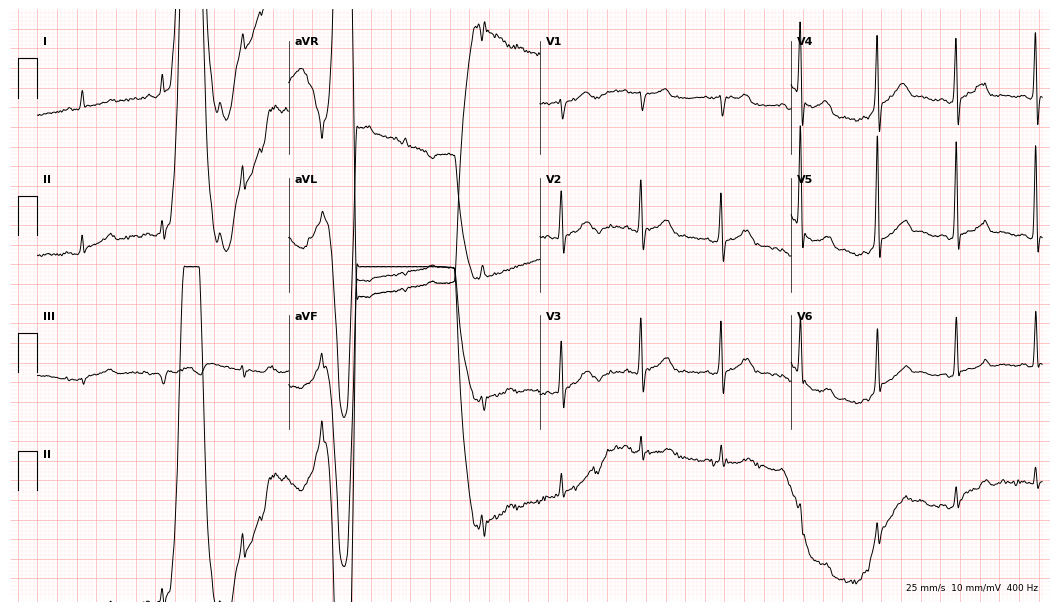
ECG — a 71-year-old man. Screened for six findings — first-degree AV block, right bundle branch block (RBBB), left bundle branch block (LBBB), sinus bradycardia, atrial fibrillation (AF), sinus tachycardia — none is recorded.